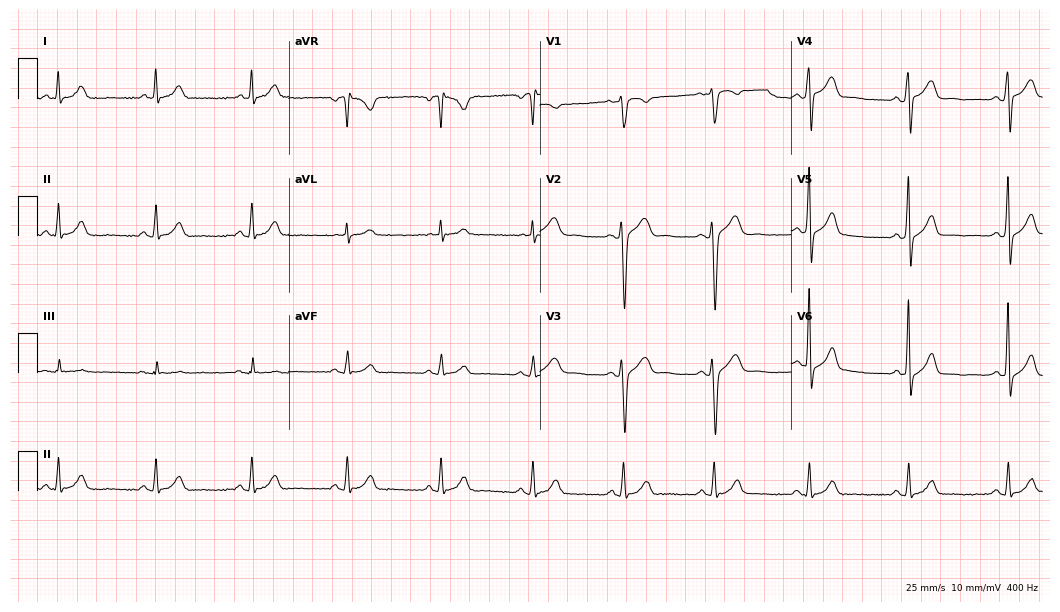
Electrocardiogram, a male patient, 48 years old. Of the six screened findings (first-degree AV block, right bundle branch block, left bundle branch block, sinus bradycardia, atrial fibrillation, sinus tachycardia), none is recorded.